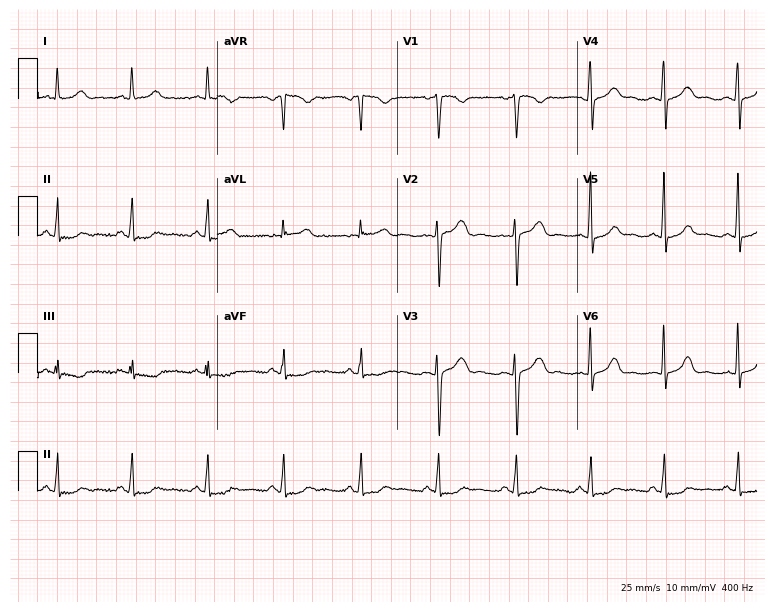
12-lead ECG (7.3-second recording at 400 Hz) from a 26-year-old female. Labelled as a normal ECG.